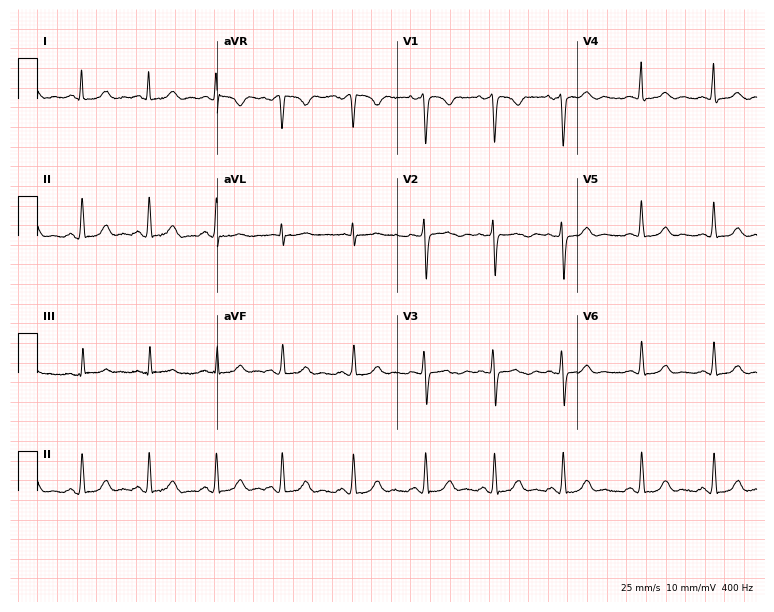
12-lead ECG from a female, 31 years old. Screened for six findings — first-degree AV block, right bundle branch block, left bundle branch block, sinus bradycardia, atrial fibrillation, sinus tachycardia — none is recorded. Findings outside these six are not listed.